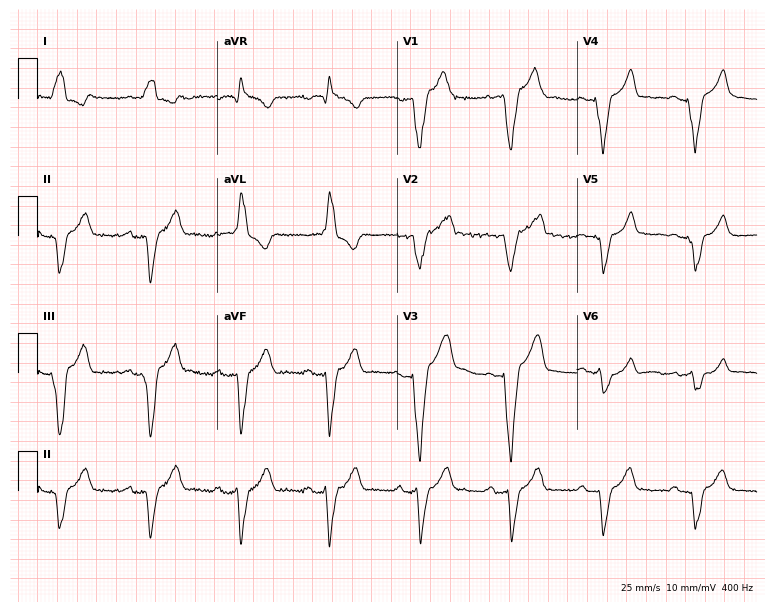
12-lead ECG (7.3-second recording at 400 Hz) from an 84-year-old male. Screened for six findings — first-degree AV block, right bundle branch block, left bundle branch block, sinus bradycardia, atrial fibrillation, sinus tachycardia — none is recorded. Findings outside these six are not listed.